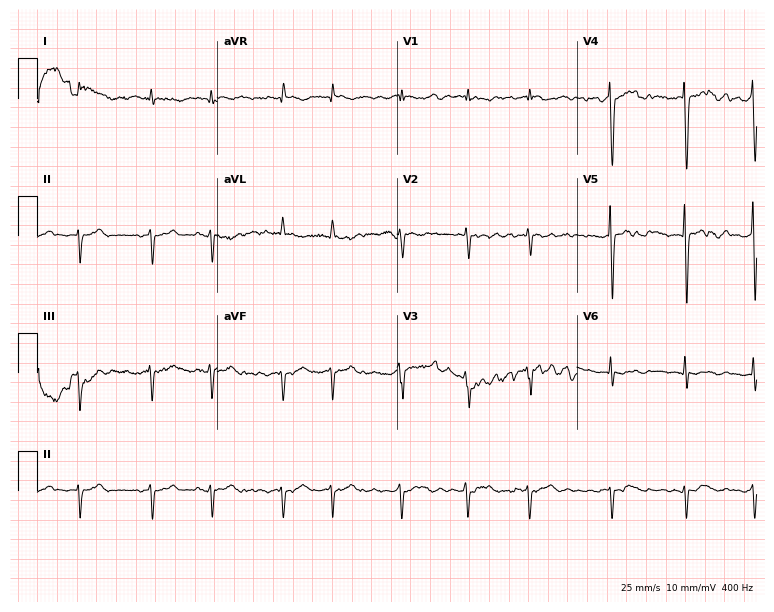
Standard 12-lead ECG recorded from a 72-year-old female (7.3-second recording at 400 Hz). None of these six findings is recorded: first-degree AV block, right bundle branch block, left bundle branch block, sinus bradycardia, atrial fibrillation, sinus tachycardia. Findings outside these six are not listed.